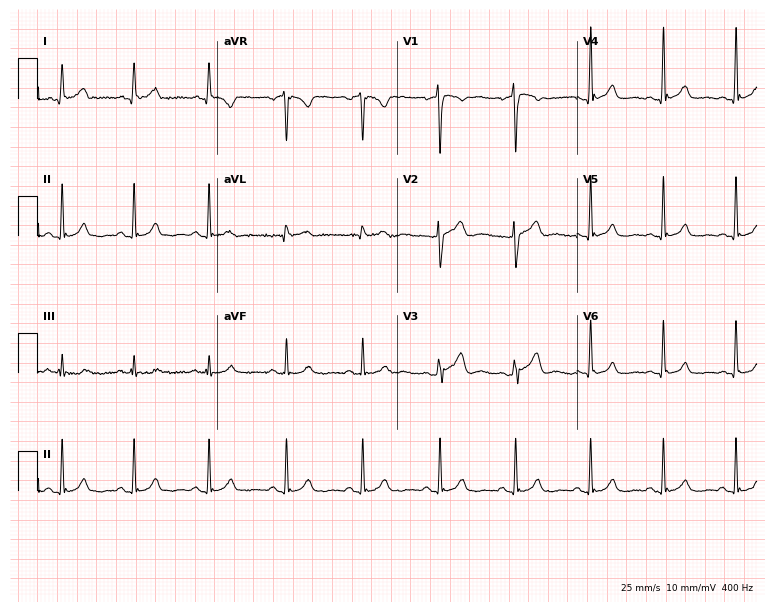
12-lead ECG (7.3-second recording at 400 Hz) from a male, 41 years old. Labelled as a normal ECG.